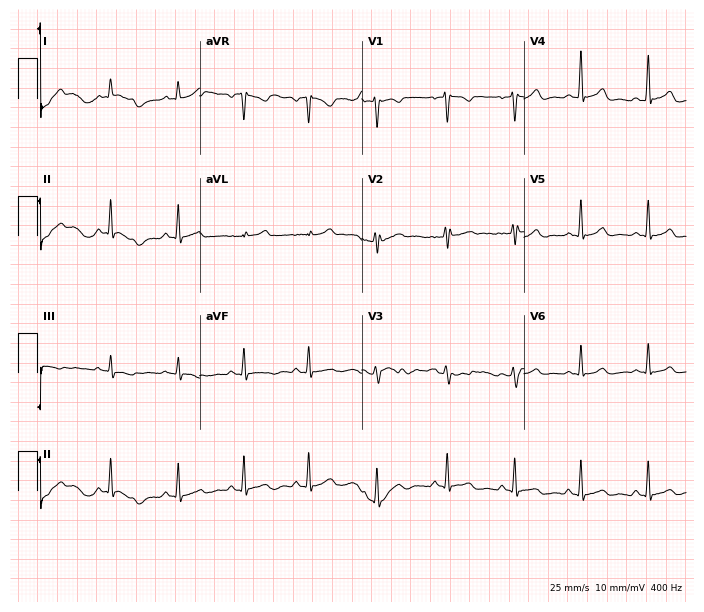
Electrocardiogram, a 17-year-old woman. Overall reading on record: normal ECG.